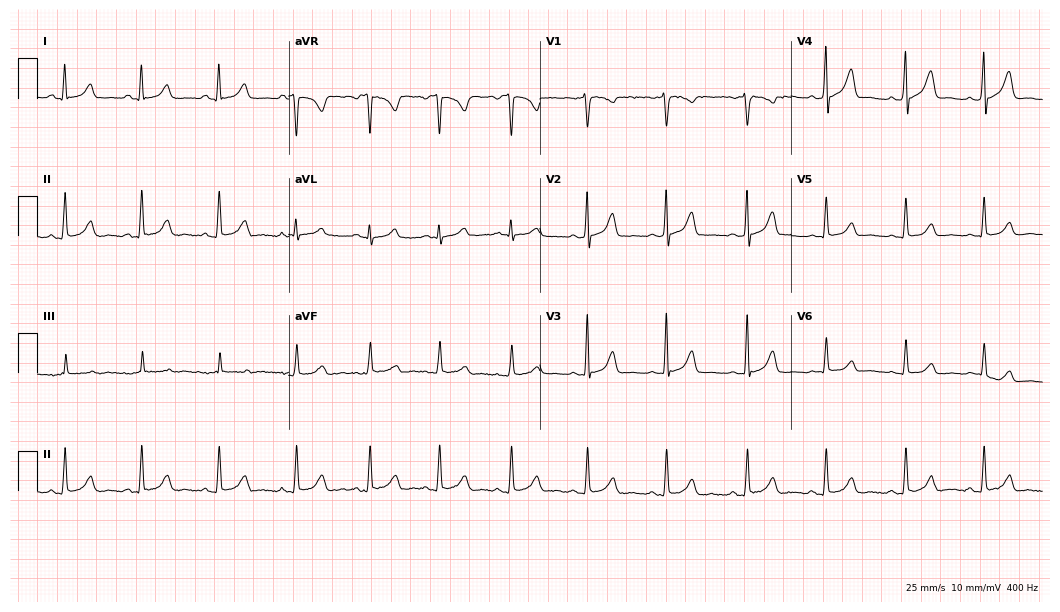
12-lead ECG from a female, 22 years old (10.2-second recording at 400 Hz). Recorded interpretation: within normal limits.